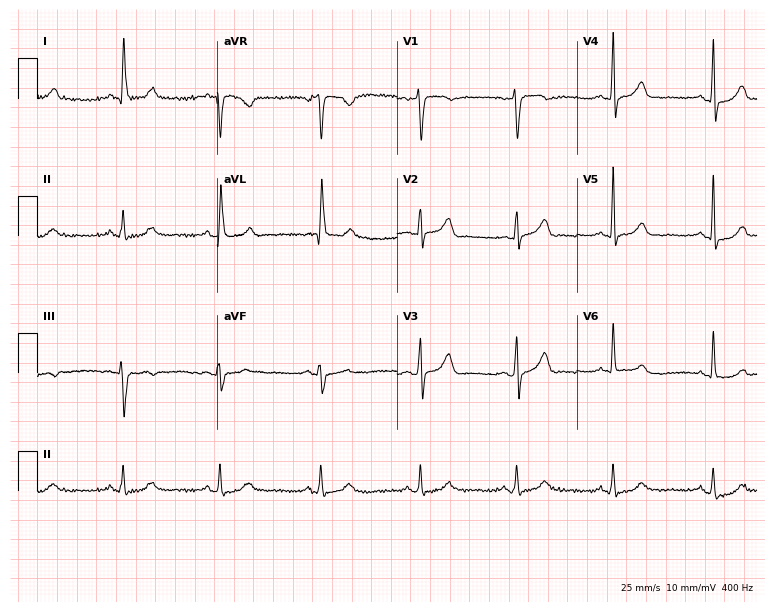
Resting 12-lead electrocardiogram. Patient: a female, 62 years old. None of these six findings is recorded: first-degree AV block, right bundle branch block, left bundle branch block, sinus bradycardia, atrial fibrillation, sinus tachycardia.